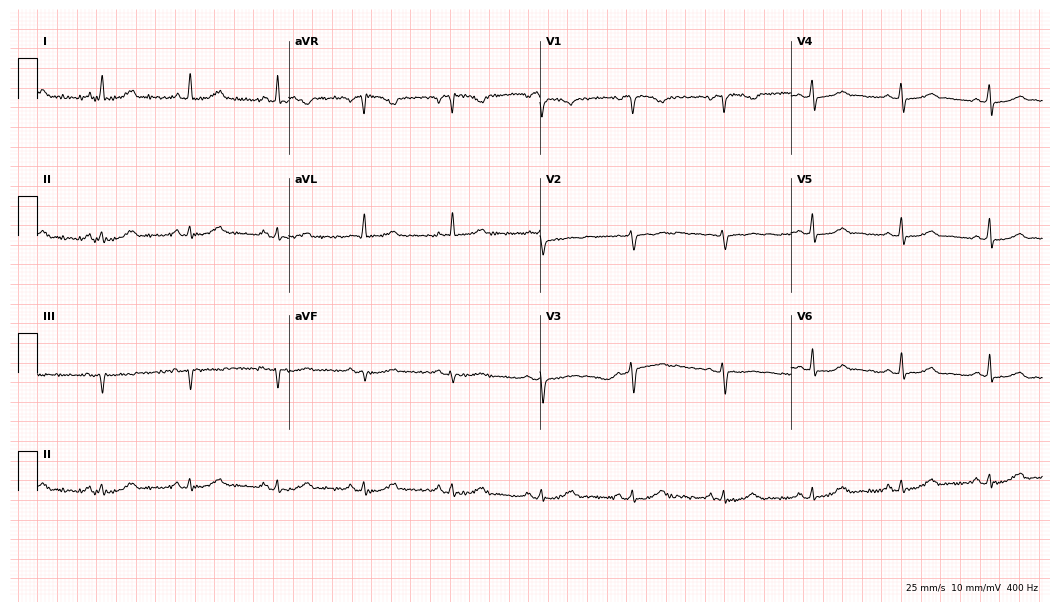
Resting 12-lead electrocardiogram. Patient: a female, 61 years old. Read as a normal ECG.